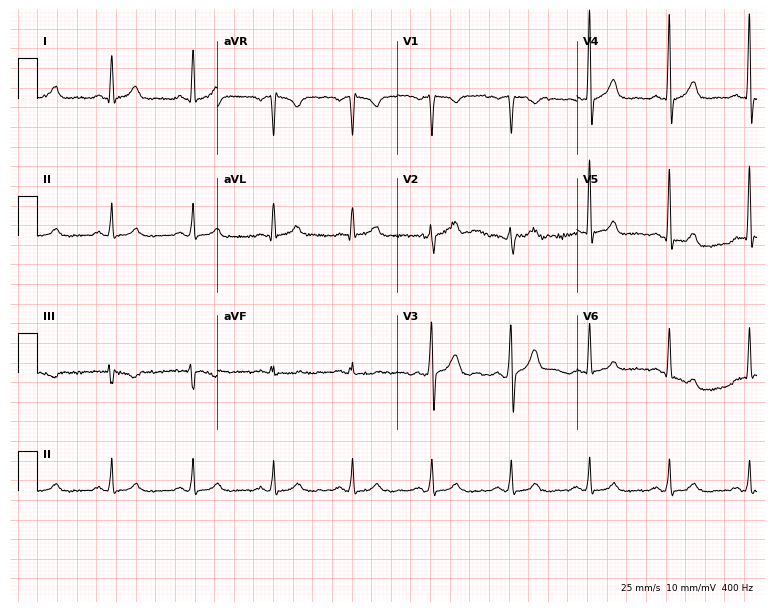
12-lead ECG from a 46-year-old male. Labelled as a normal ECG.